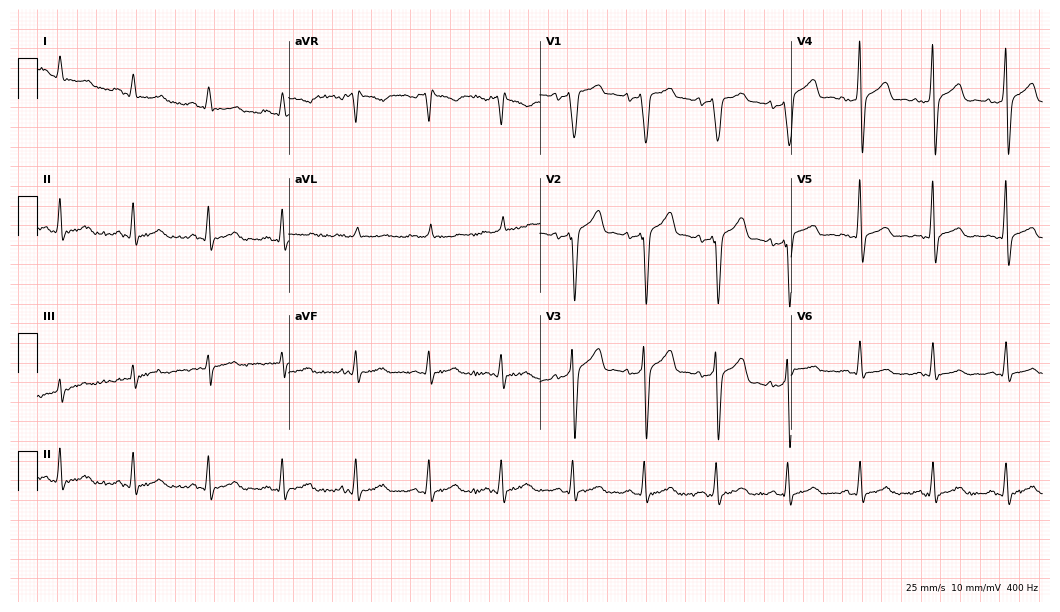
12-lead ECG from a 36-year-old man (10.2-second recording at 400 Hz). No first-degree AV block, right bundle branch block (RBBB), left bundle branch block (LBBB), sinus bradycardia, atrial fibrillation (AF) or sinus tachycardia recorded for this tracing.